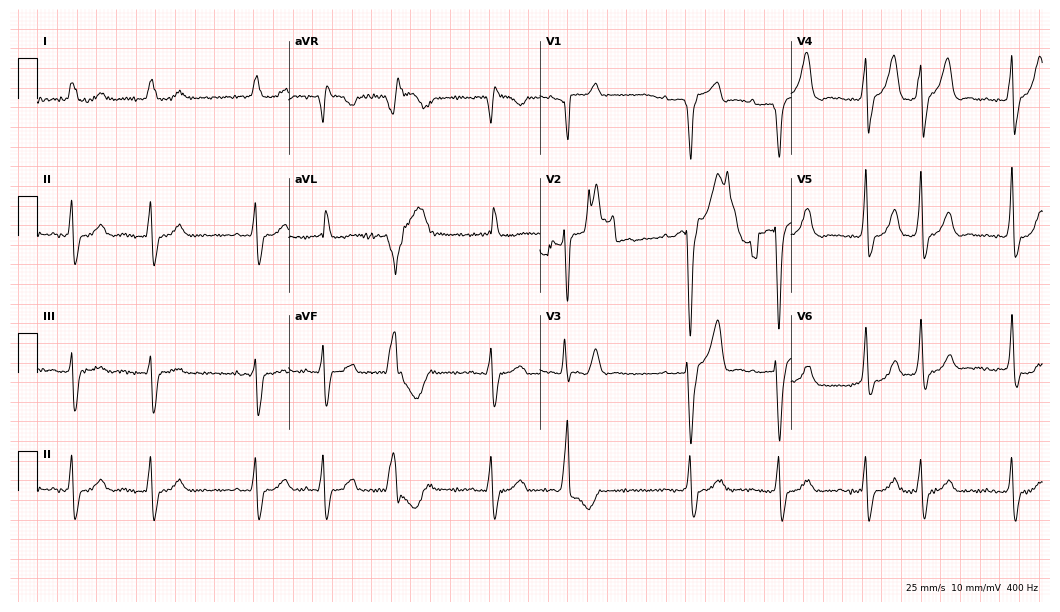
Resting 12-lead electrocardiogram. Patient: a 71-year-old woman. The tracing shows left bundle branch block (LBBB), atrial fibrillation (AF).